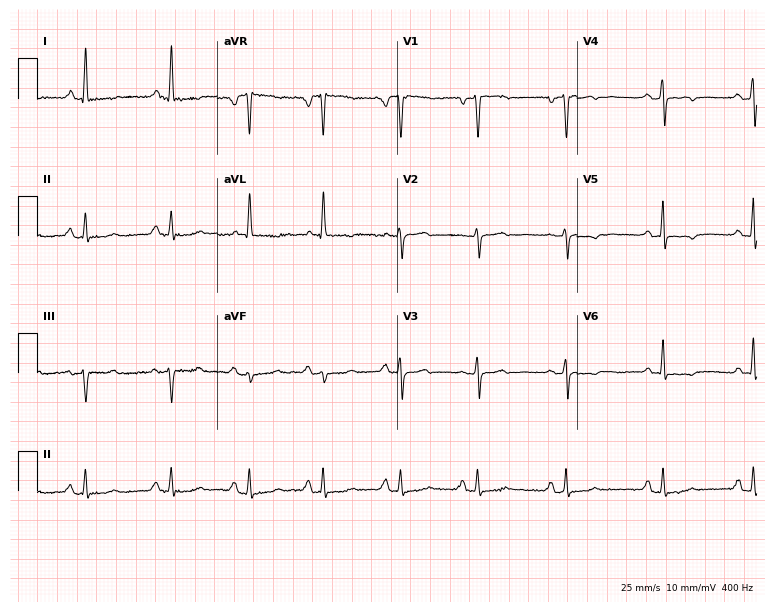
12-lead ECG from a 38-year-old female patient (7.3-second recording at 400 Hz). No first-degree AV block, right bundle branch block, left bundle branch block, sinus bradycardia, atrial fibrillation or sinus tachycardia recorded for this tracing. Findings outside these six are not listed.